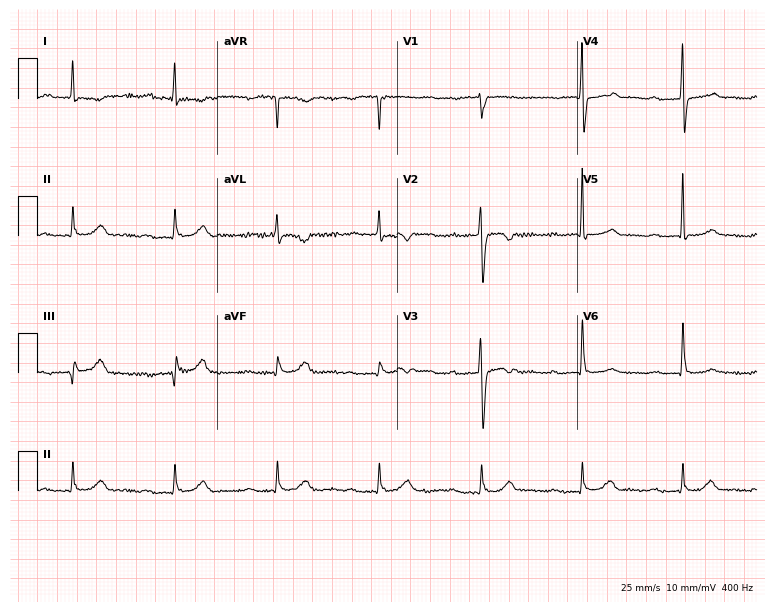
Standard 12-lead ECG recorded from a 64-year-old male (7.3-second recording at 400 Hz). None of these six findings is recorded: first-degree AV block, right bundle branch block, left bundle branch block, sinus bradycardia, atrial fibrillation, sinus tachycardia. Only these six findings were labelled.